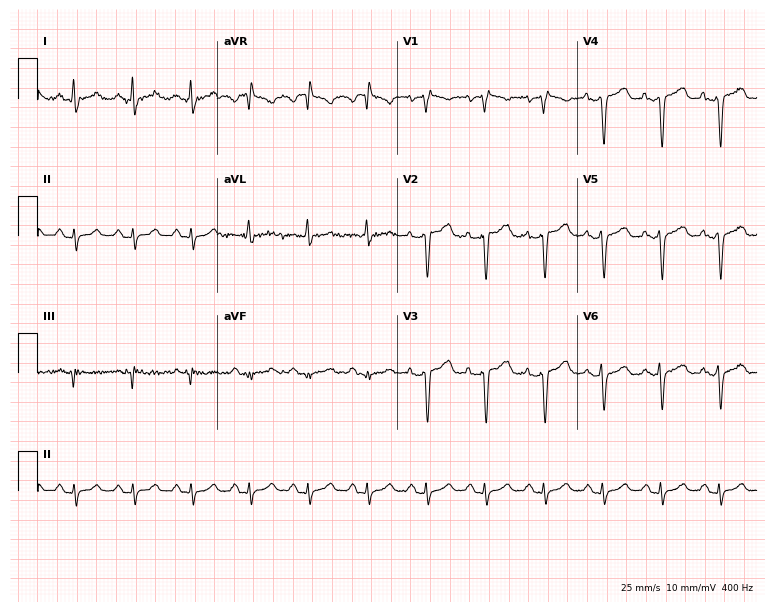
Resting 12-lead electrocardiogram (7.3-second recording at 400 Hz). Patient: a female, 52 years old. None of these six findings is recorded: first-degree AV block, right bundle branch block, left bundle branch block, sinus bradycardia, atrial fibrillation, sinus tachycardia. Findings outside these six are not listed.